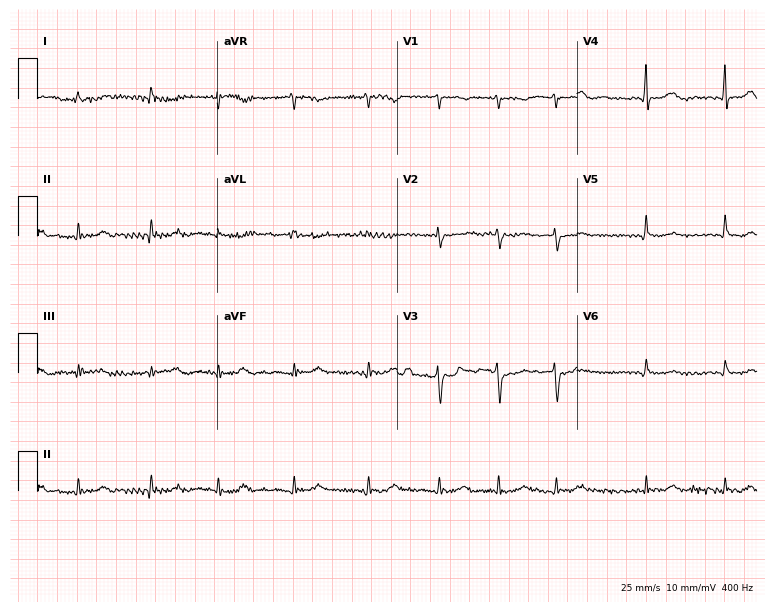
12-lead ECG from an 84-year-old man. Screened for six findings — first-degree AV block, right bundle branch block, left bundle branch block, sinus bradycardia, atrial fibrillation, sinus tachycardia — none is recorded. Other findings, if any, are not listed.